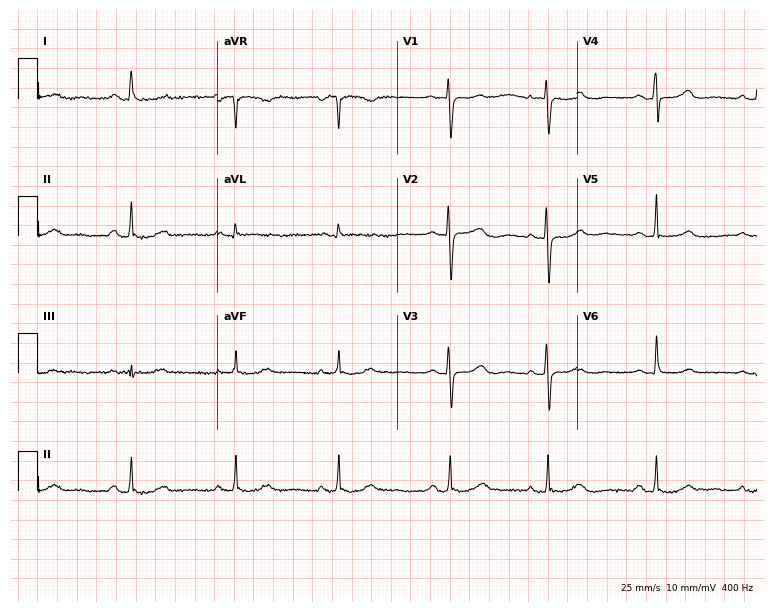
Resting 12-lead electrocardiogram. Patient: a female, 72 years old. Read as a normal ECG.